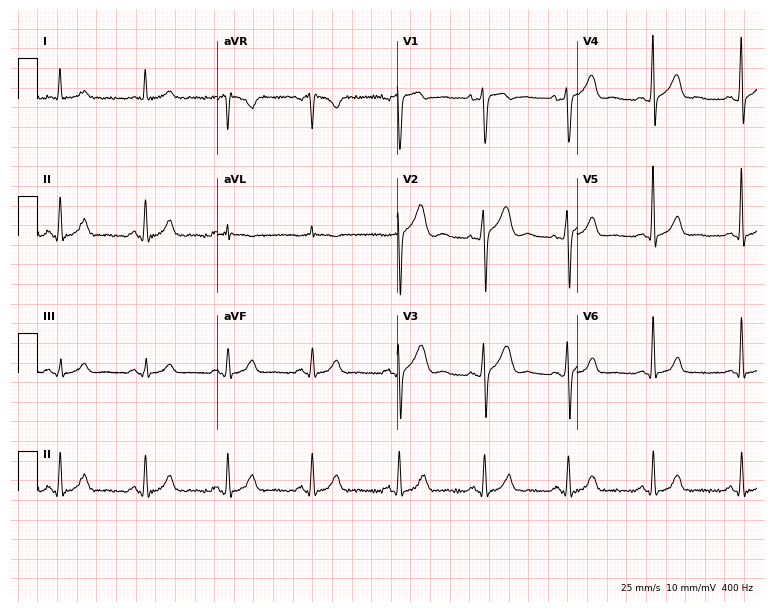
Standard 12-lead ECG recorded from a man, 37 years old. Read as a normal ECG.